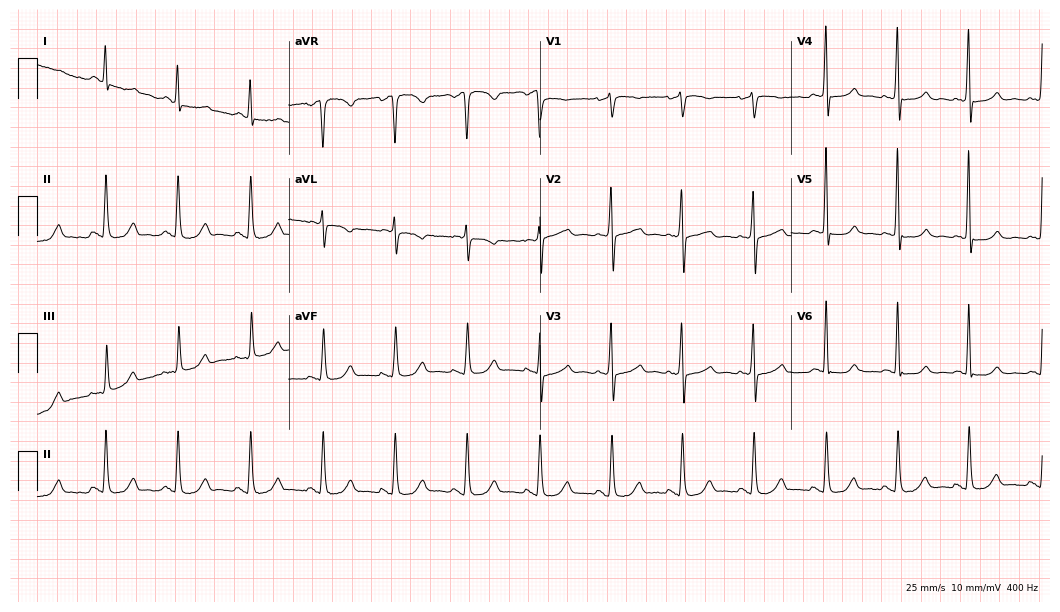
Electrocardiogram (10.2-second recording at 400 Hz), a woman, 52 years old. Overall reading on record: normal ECG.